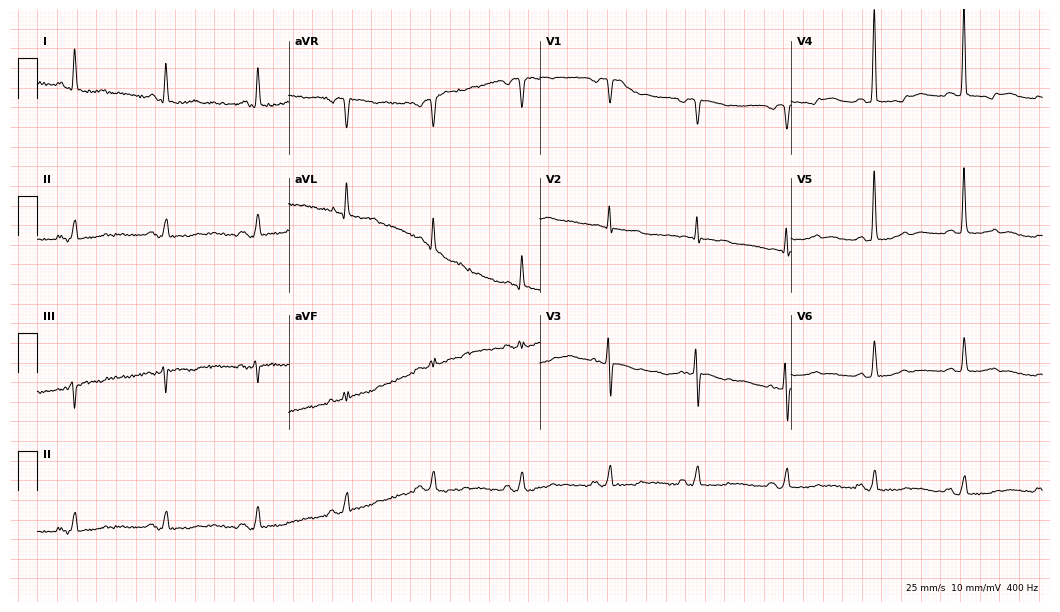
12-lead ECG (10.2-second recording at 400 Hz) from a 64-year-old woman. Screened for six findings — first-degree AV block, right bundle branch block, left bundle branch block, sinus bradycardia, atrial fibrillation, sinus tachycardia — none is recorded.